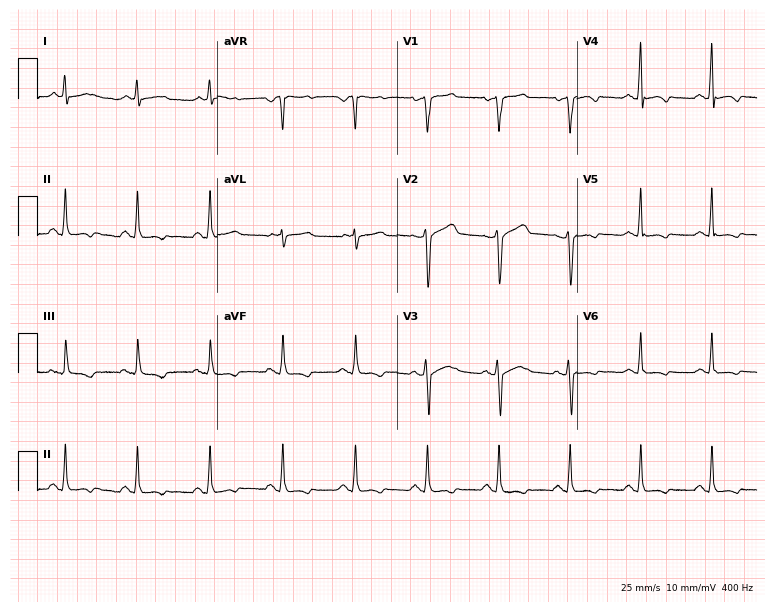
Resting 12-lead electrocardiogram. Patient: a 58-year-old male. None of these six findings is recorded: first-degree AV block, right bundle branch block, left bundle branch block, sinus bradycardia, atrial fibrillation, sinus tachycardia.